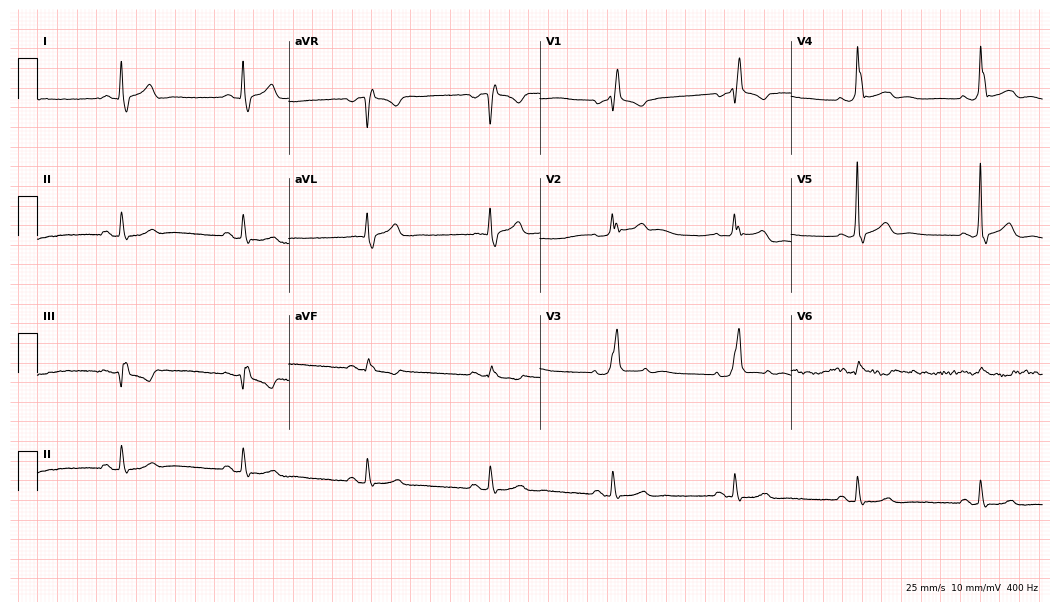
ECG — a male, 58 years old. Screened for six findings — first-degree AV block, right bundle branch block, left bundle branch block, sinus bradycardia, atrial fibrillation, sinus tachycardia — none is recorded. Findings outside these six are not listed.